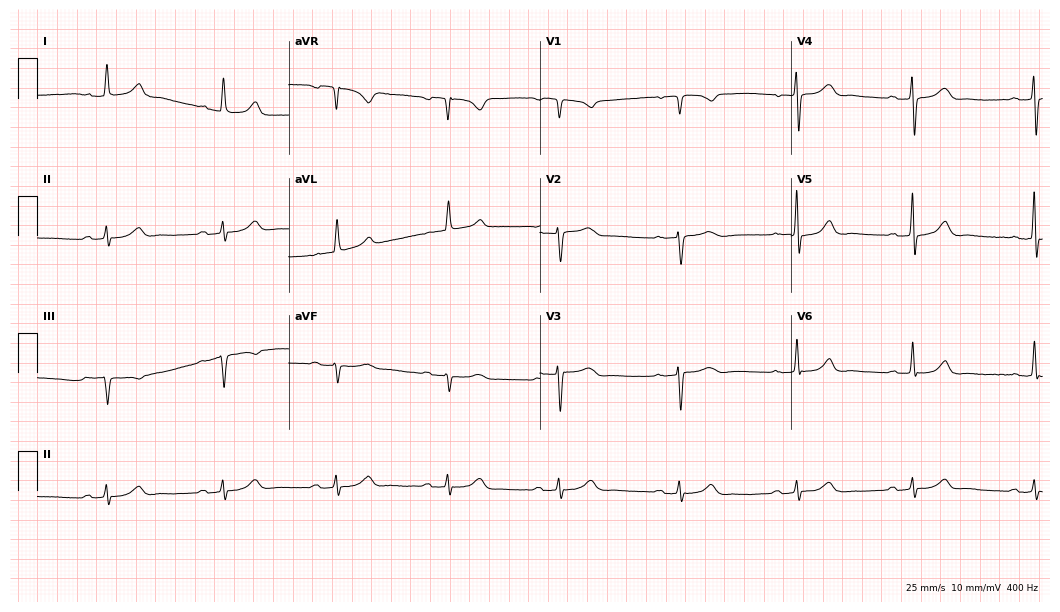
ECG — a woman, 73 years old. Findings include first-degree AV block.